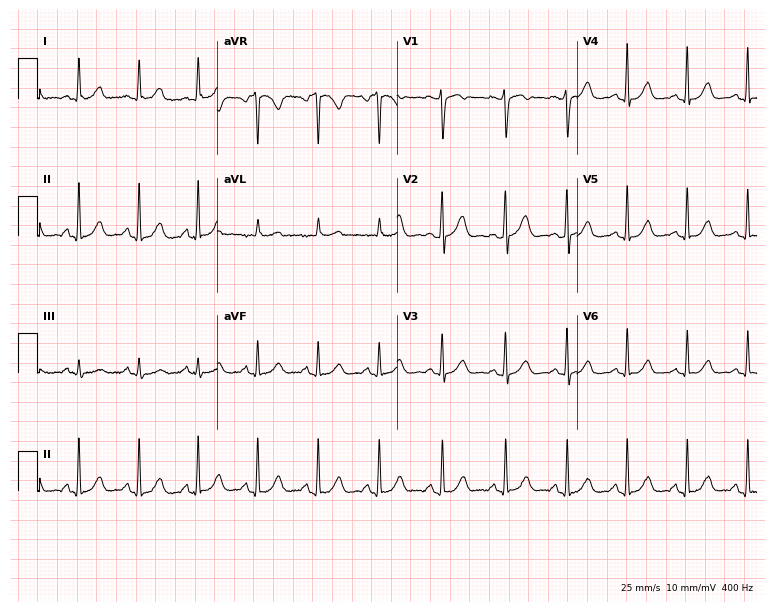
Resting 12-lead electrocardiogram (7.3-second recording at 400 Hz). Patient: a female, 48 years old. Read as a normal ECG.